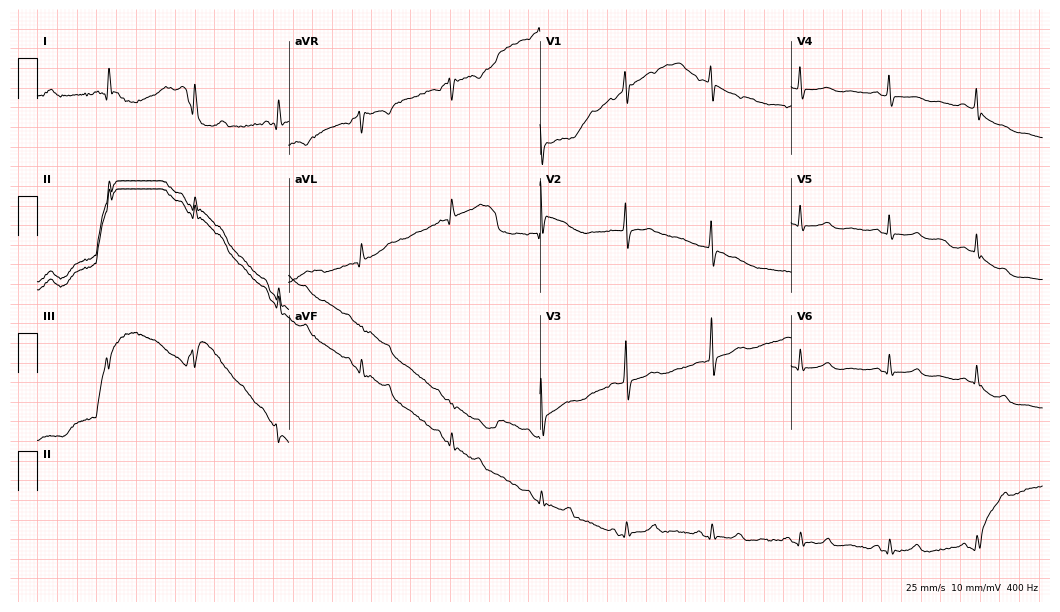
Resting 12-lead electrocardiogram (10.2-second recording at 400 Hz). Patient: a 67-year-old female. None of these six findings is recorded: first-degree AV block, right bundle branch block, left bundle branch block, sinus bradycardia, atrial fibrillation, sinus tachycardia.